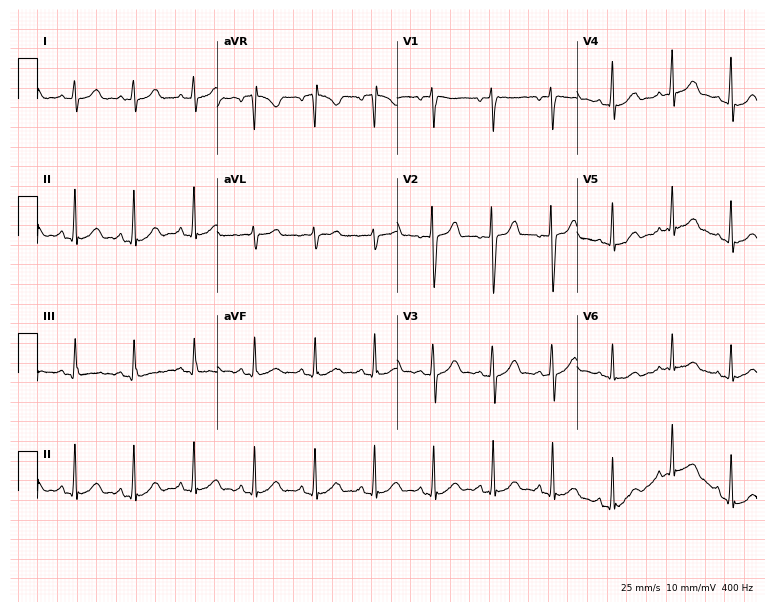
Standard 12-lead ECG recorded from a 31-year-old female patient (7.3-second recording at 400 Hz). Read as a normal ECG.